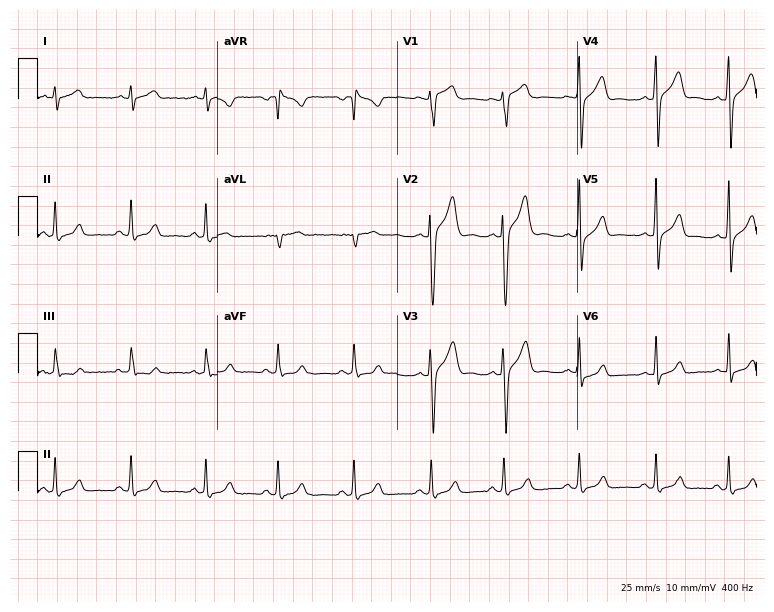
Electrocardiogram, a 21-year-old man. Of the six screened findings (first-degree AV block, right bundle branch block (RBBB), left bundle branch block (LBBB), sinus bradycardia, atrial fibrillation (AF), sinus tachycardia), none is recorded.